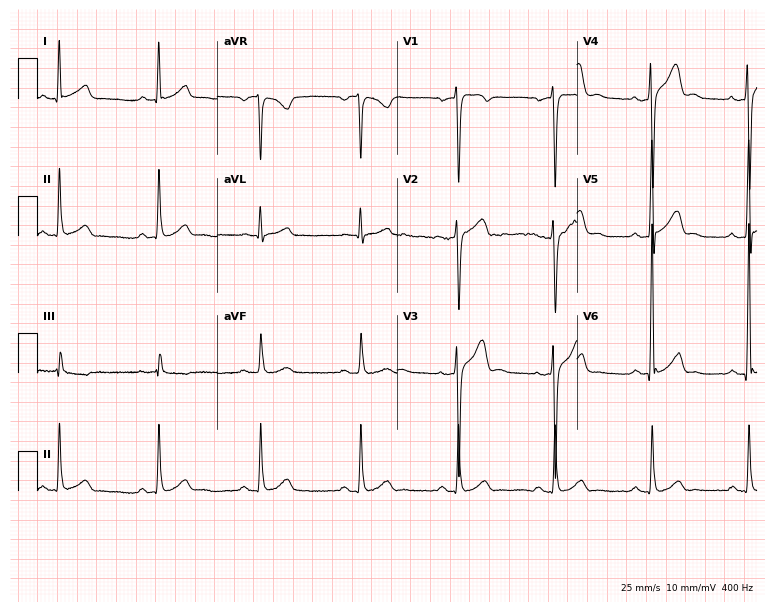
12-lead ECG from a 39-year-old male. Screened for six findings — first-degree AV block, right bundle branch block, left bundle branch block, sinus bradycardia, atrial fibrillation, sinus tachycardia — none is recorded.